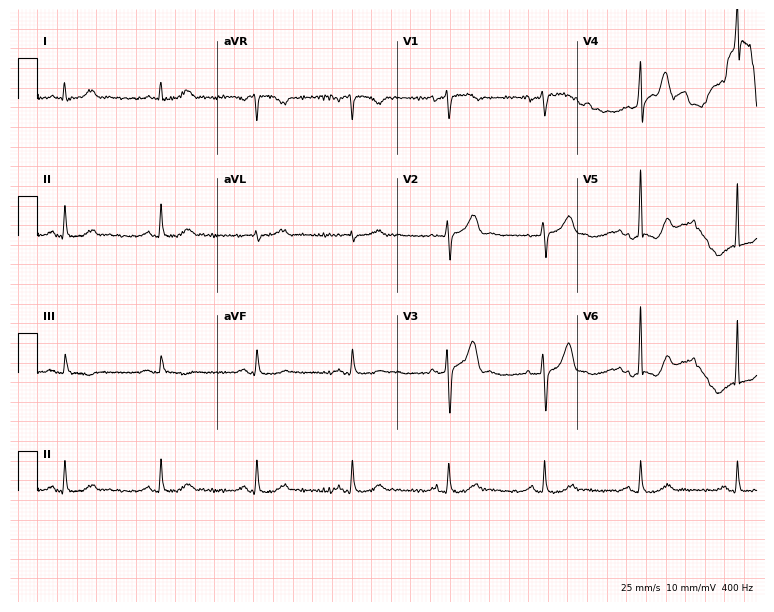
Resting 12-lead electrocardiogram (7.3-second recording at 400 Hz). Patient: a 62-year-old man. Read as a normal ECG.